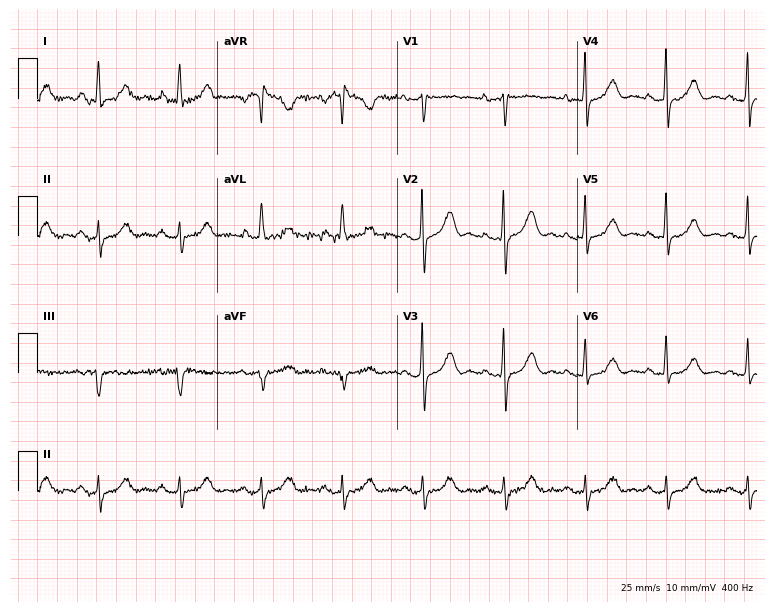
Standard 12-lead ECG recorded from a female patient, 70 years old. None of these six findings is recorded: first-degree AV block, right bundle branch block, left bundle branch block, sinus bradycardia, atrial fibrillation, sinus tachycardia.